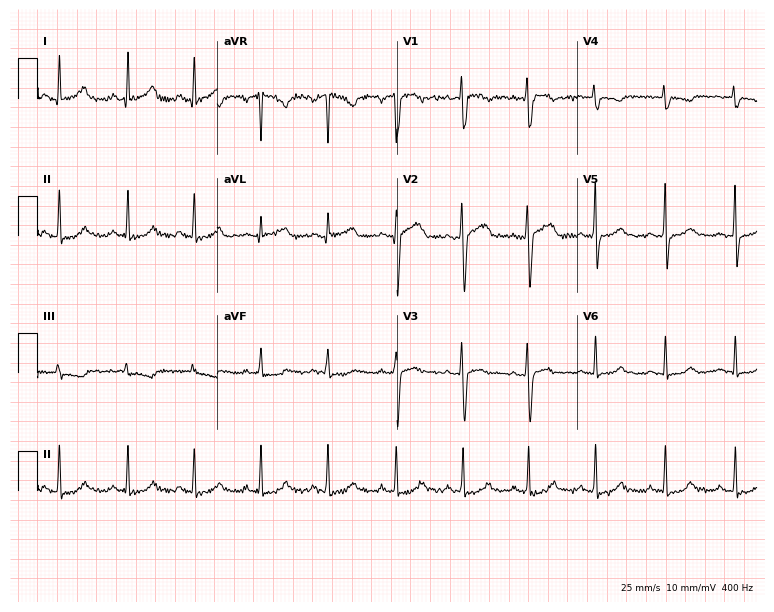
Resting 12-lead electrocardiogram (7.3-second recording at 400 Hz). Patient: a female, 26 years old. None of these six findings is recorded: first-degree AV block, right bundle branch block, left bundle branch block, sinus bradycardia, atrial fibrillation, sinus tachycardia.